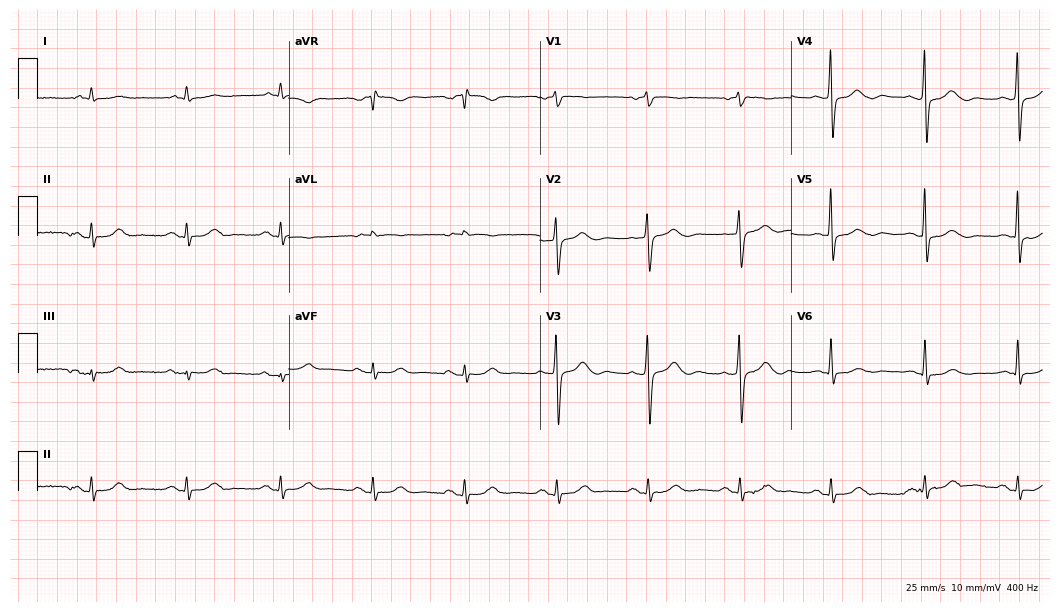
Resting 12-lead electrocardiogram. Patient: a male, 85 years old. None of these six findings is recorded: first-degree AV block, right bundle branch block, left bundle branch block, sinus bradycardia, atrial fibrillation, sinus tachycardia. Findings outside these six are not listed.